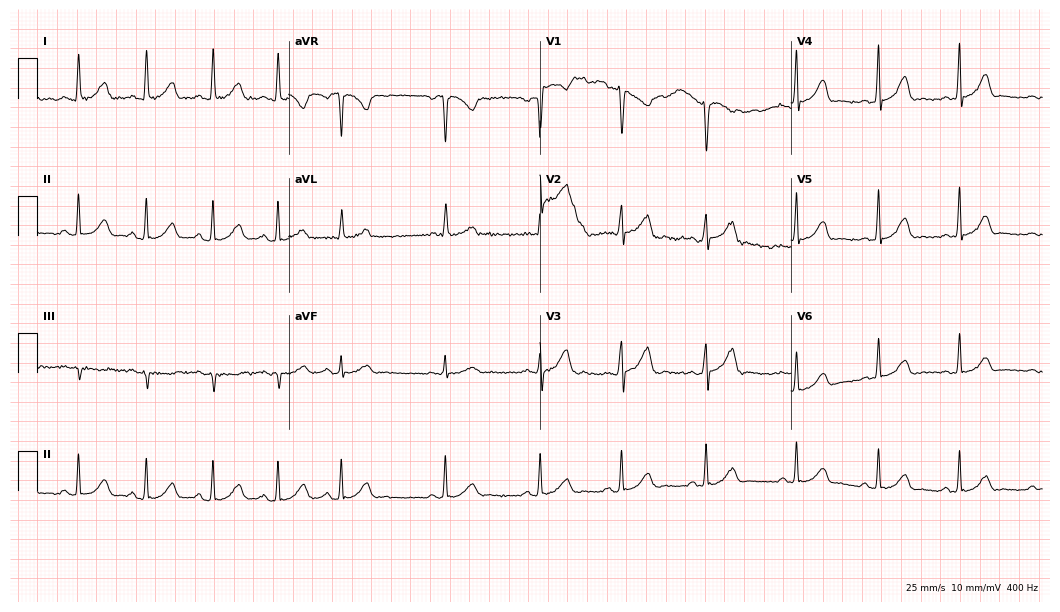
Electrocardiogram, a 29-year-old woman. Overall reading on record: normal ECG.